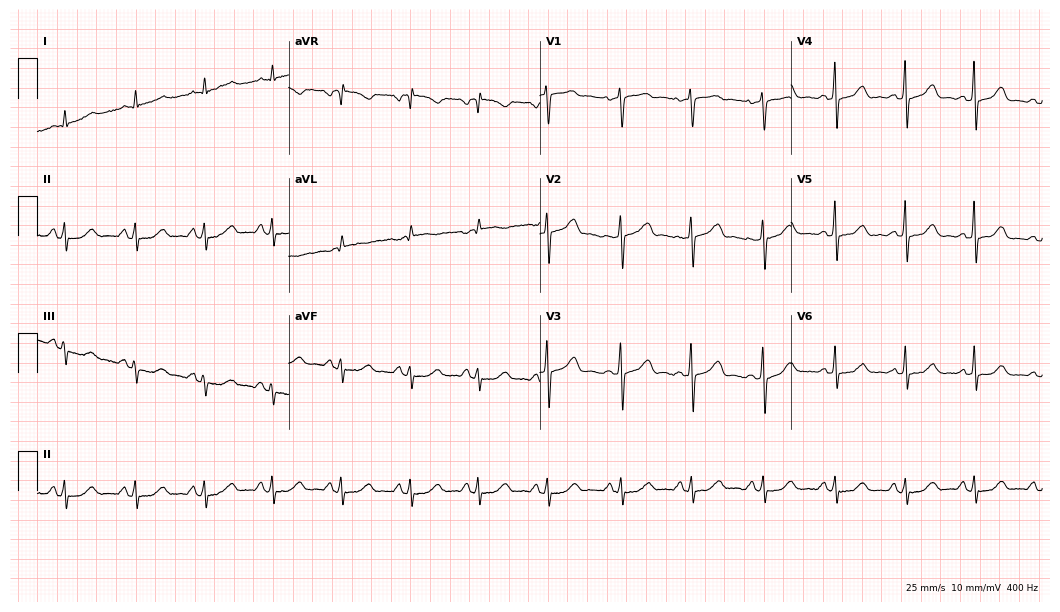
Resting 12-lead electrocardiogram (10.2-second recording at 400 Hz). Patient: a 55-year-old female. Read as a normal ECG.